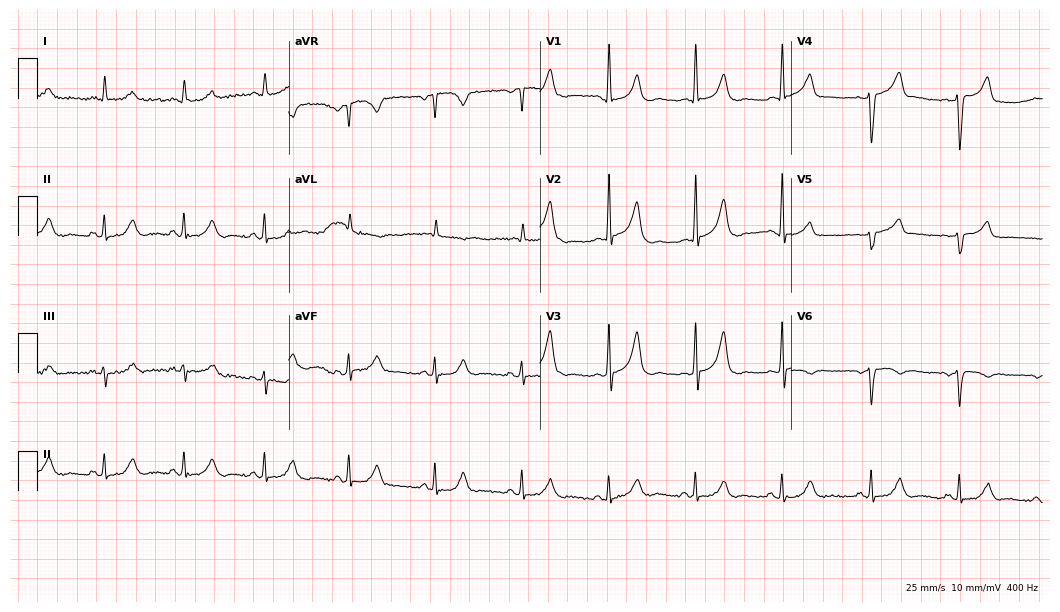
12-lead ECG (10.2-second recording at 400 Hz) from a female, 43 years old. Screened for six findings — first-degree AV block, right bundle branch block, left bundle branch block, sinus bradycardia, atrial fibrillation, sinus tachycardia — none is recorded.